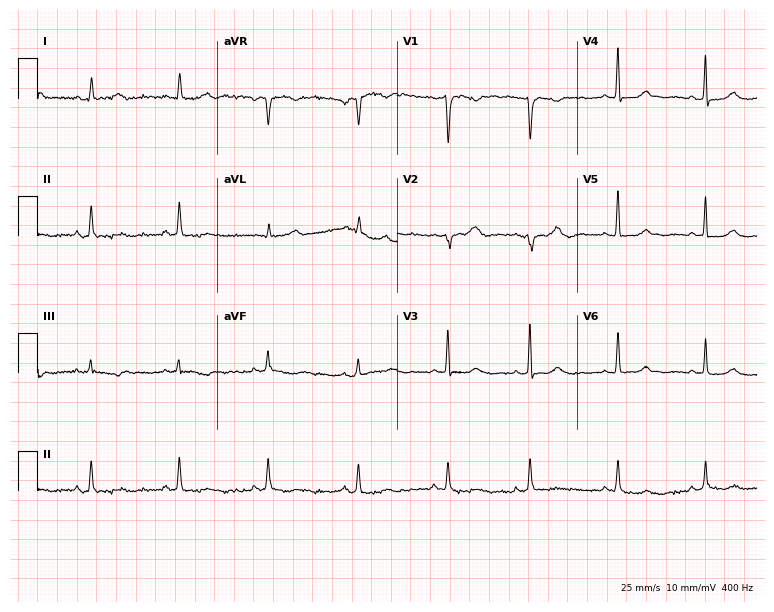
Resting 12-lead electrocardiogram (7.3-second recording at 400 Hz). Patient: a female, 36 years old. Read as a normal ECG.